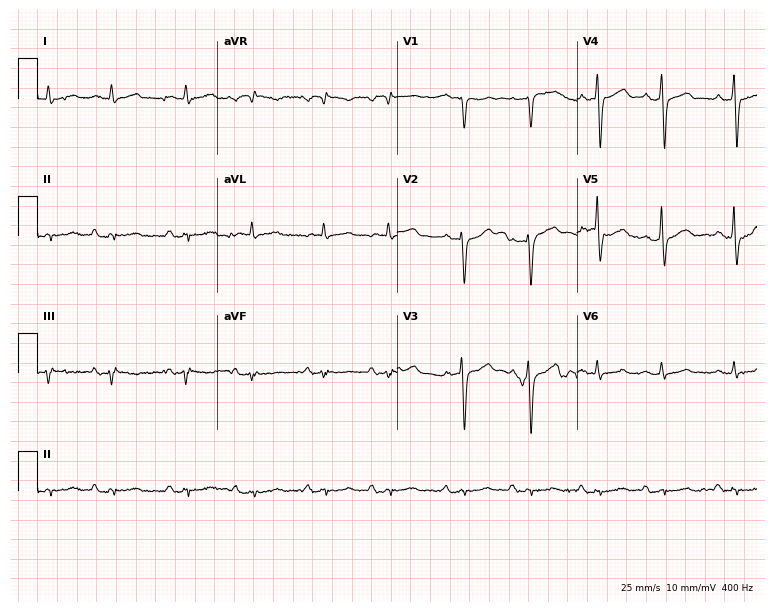
ECG — an 80-year-old male. Screened for six findings — first-degree AV block, right bundle branch block, left bundle branch block, sinus bradycardia, atrial fibrillation, sinus tachycardia — none is recorded.